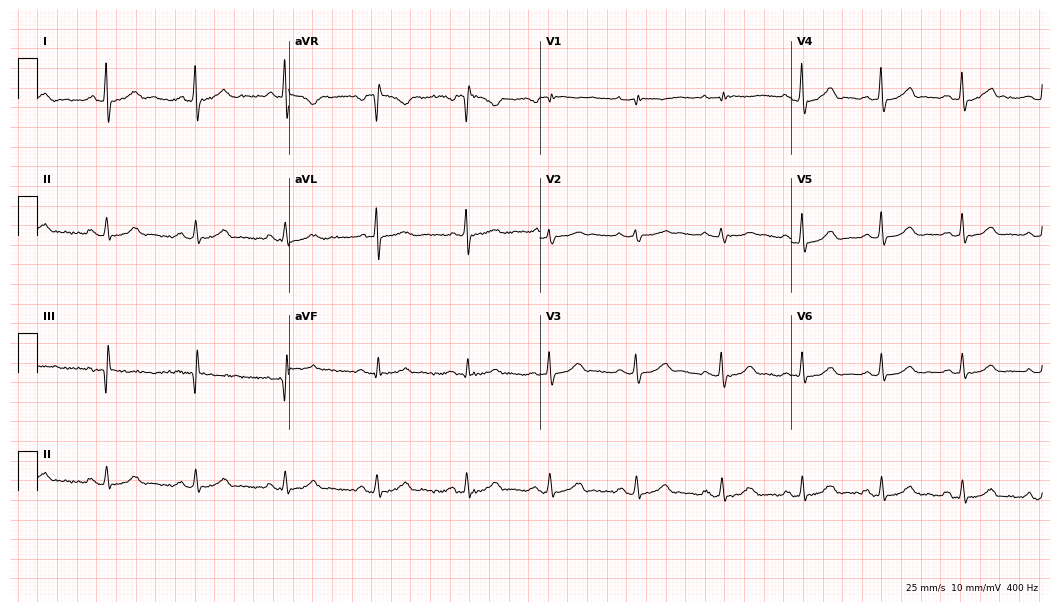
12-lead ECG from a 54-year-old female patient (10.2-second recording at 400 Hz). Recorded interpretation: within normal limits.